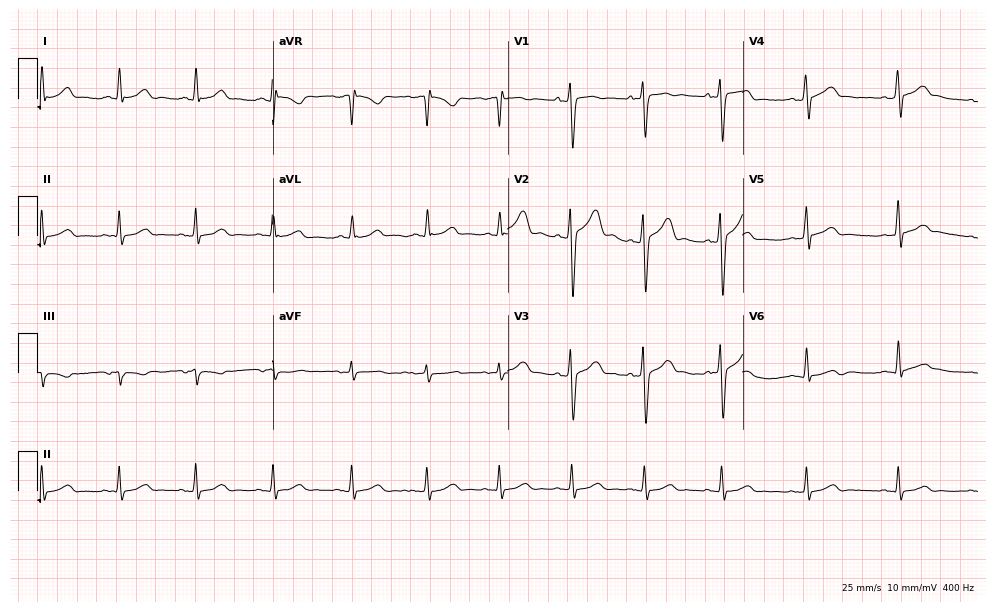
Resting 12-lead electrocardiogram. Patient: a male, 30 years old. Read as a normal ECG.